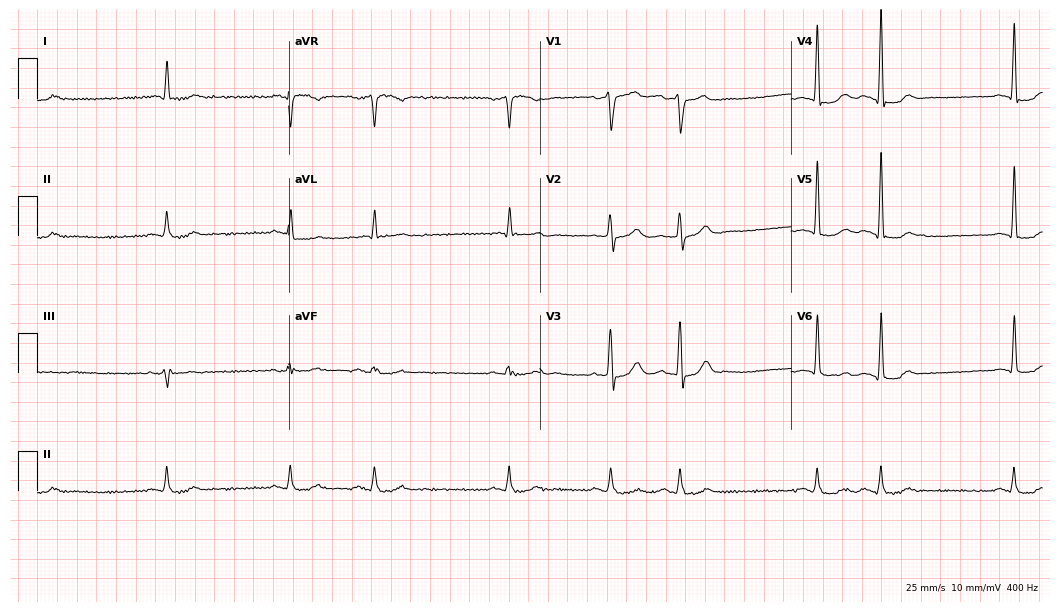
Electrocardiogram (10.2-second recording at 400 Hz), a man, 74 years old. Of the six screened findings (first-degree AV block, right bundle branch block, left bundle branch block, sinus bradycardia, atrial fibrillation, sinus tachycardia), none is recorded.